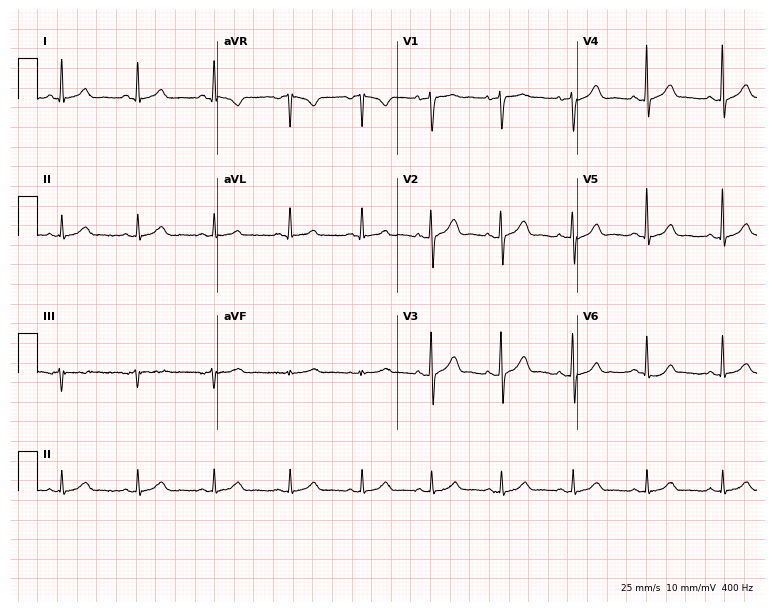
Resting 12-lead electrocardiogram. Patient: a 37-year-old male. None of these six findings is recorded: first-degree AV block, right bundle branch block, left bundle branch block, sinus bradycardia, atrial fibrillation, sinus tachycardia. Findings outside these six are not listed.